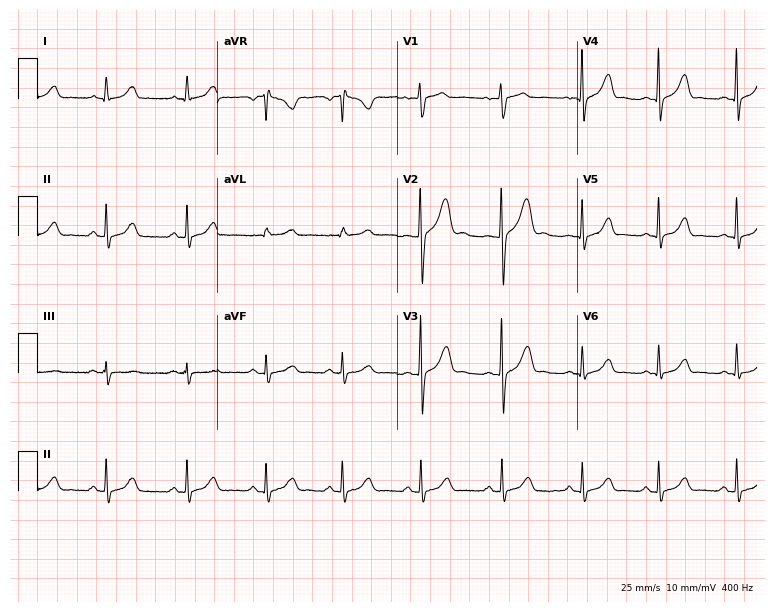
Resting 12-lead electrocardiogram (7.3-second recording at 400 Hz). Patient: an 18-year-old female. Read as a normal ECG.